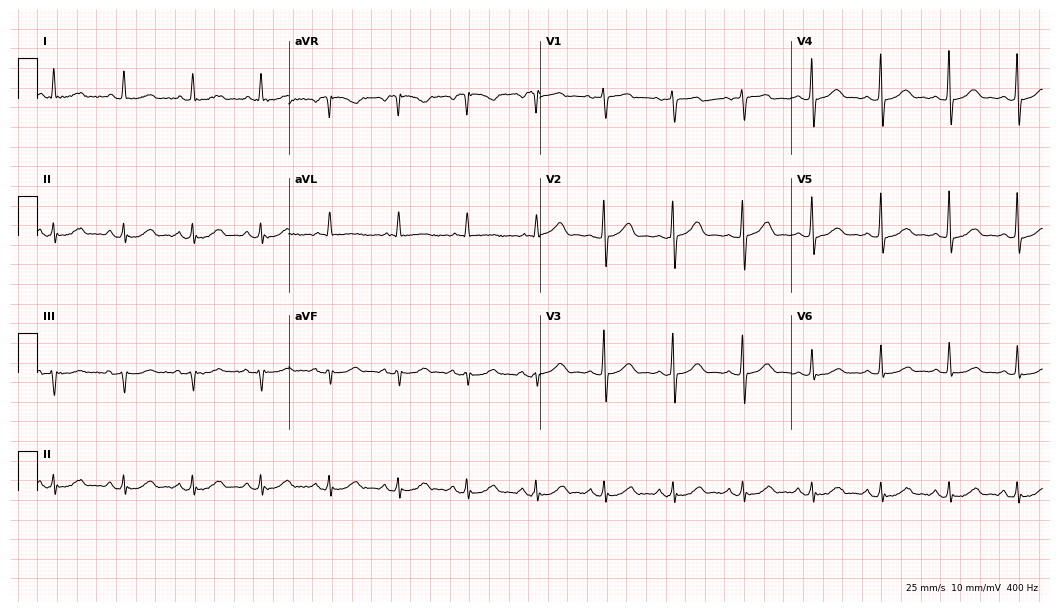
12-lead ECG from an 83-year-old woman. Labelled as a normal ECG.